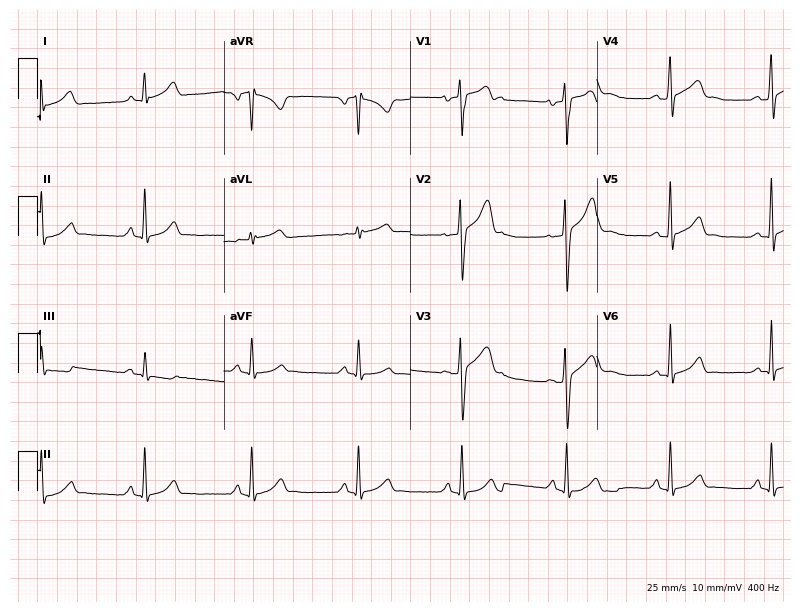
12-lead ECG from a 40-year-old man. No first-degree AV block, right bundle branch block, left bundle branch block, sinus bradycardia, atrial fibrillation or sinus tachycardia recorded for this tracing. Findings outside these six are not listed.